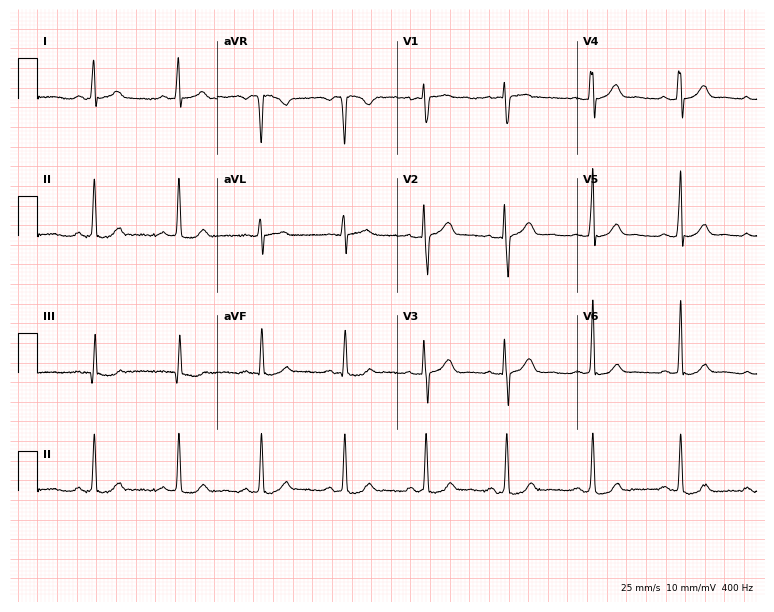
Electrocardiogram (7.3-second recording at 400 Hz), a 24-year-old female. Of the six screened findings (first-degree AV block, right bundle branch block (RBBB), left bundle branch block (LBBB), sinus bradycardia, atrial fibrillation (AF), sinus tachycardia), none is recorded.